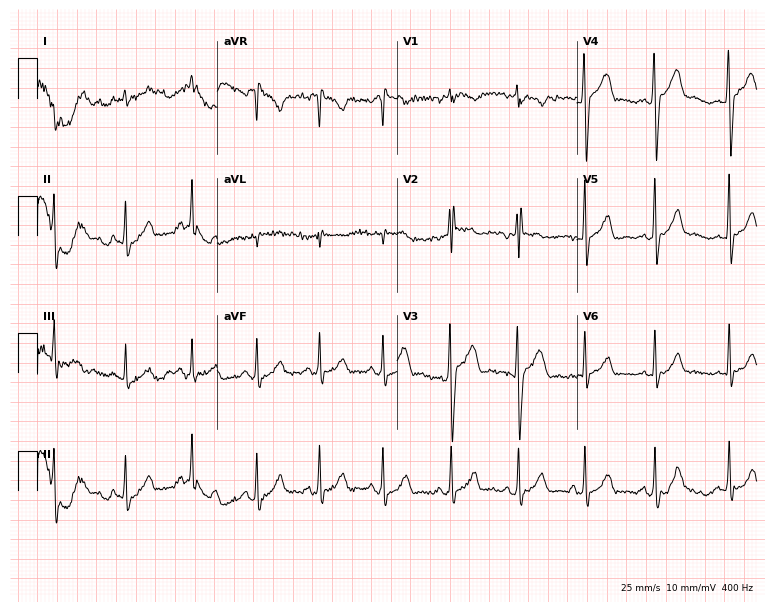
12-lead ECG (7.3-second recording at 400 Hz) from a 21-year-old man. Screened for six findings — first-degree AV block, right bundle branch block (RBBB), left bundle branch block (LBBB), sinus bradycardia, atrial fibrillation (AF), sinus tachycardia — none is recorded. Findings outside these six are not listed.